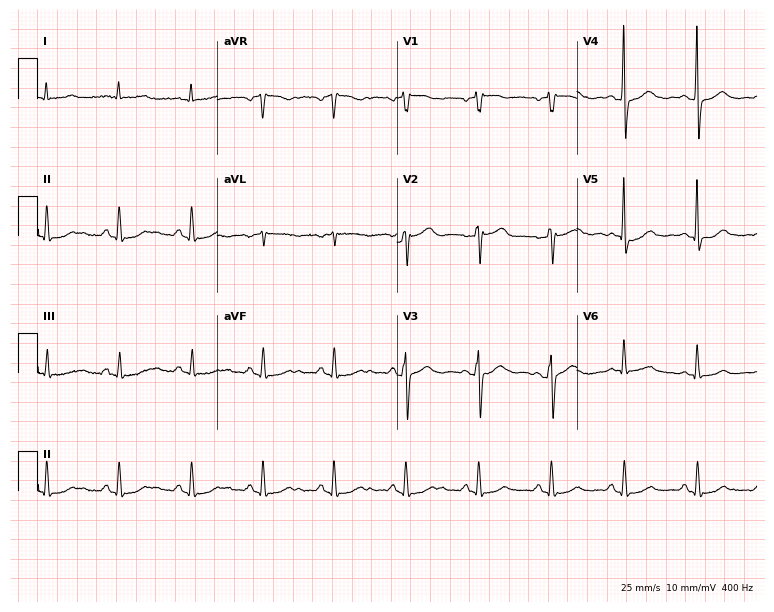
Electrocardiogram (7.3-second recording at 400 Hz), a 70-year-old female patient. Overall reading on record: normal ECG.